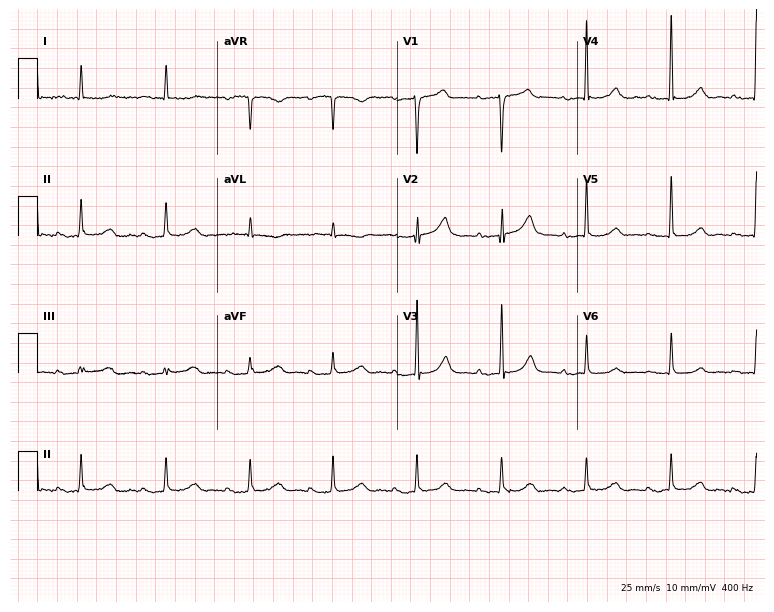
Standard 12-lead ECG recorded from an 80-year-old male patient (7.3-second recording at 400 Hz). None of these six findings is recorded: first-degree AV block, right bundle branch block, left bundle branch block, sinus bradycardia, atrial fibrillation, sinus tachycardia. Findings outside these six are not listed.